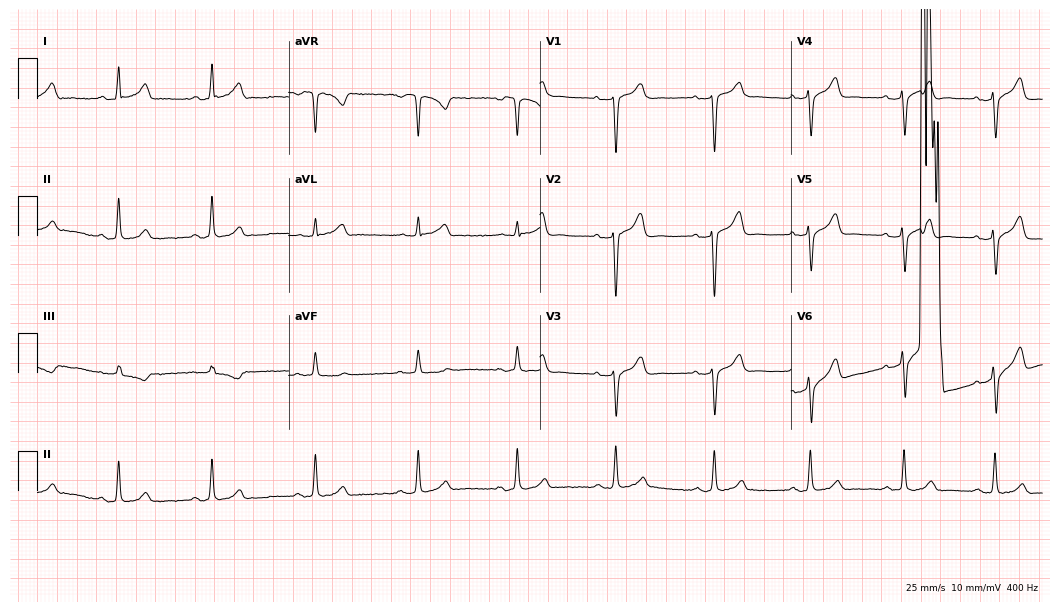
ECG (10.2-second recording at 400 Hz) — a 39-year-old male. Screened for six findings — first-degree AV block, right bundle branch block (RBBB), left bundle branch block (LBBB), sinus bradycardia, atrial fibrillation (AF), sinus tachycardia — none is recorded.